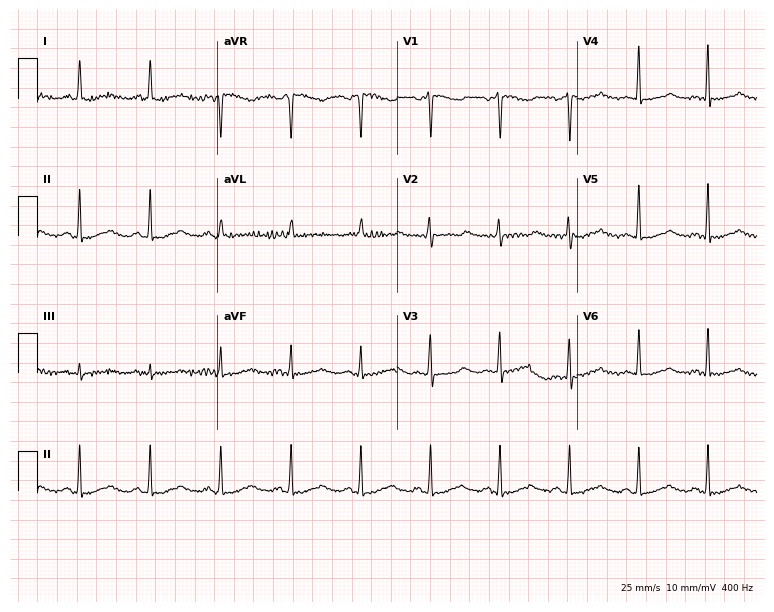
12-lead ECG from a 45-year-old female. Screened for six findings — first-degree AV block, right bundle branch block, left bundle branch block, sinus bradycardia, atrial fibrillation, sinus tachycardia — none is recorded. Other findings, if any, are not listed.